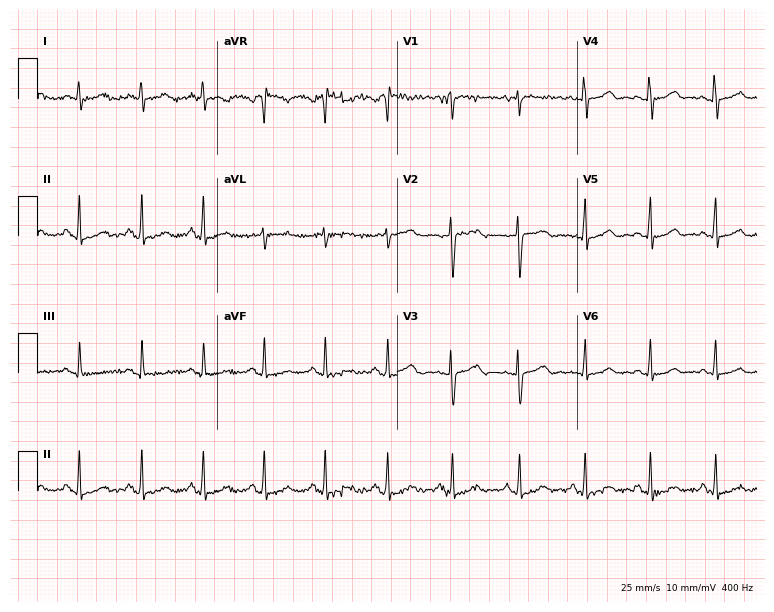
Standard 12-lead ECG recorded from a woman, 49 years old. Read as a normal ECG.